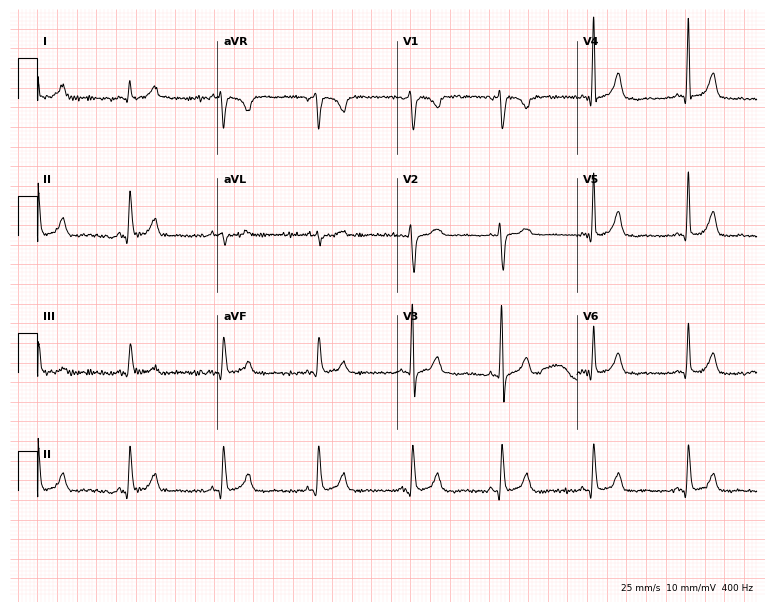
Standard 12-lead ECG recorded from a 31-year-old woman. Read as a normal ECG.